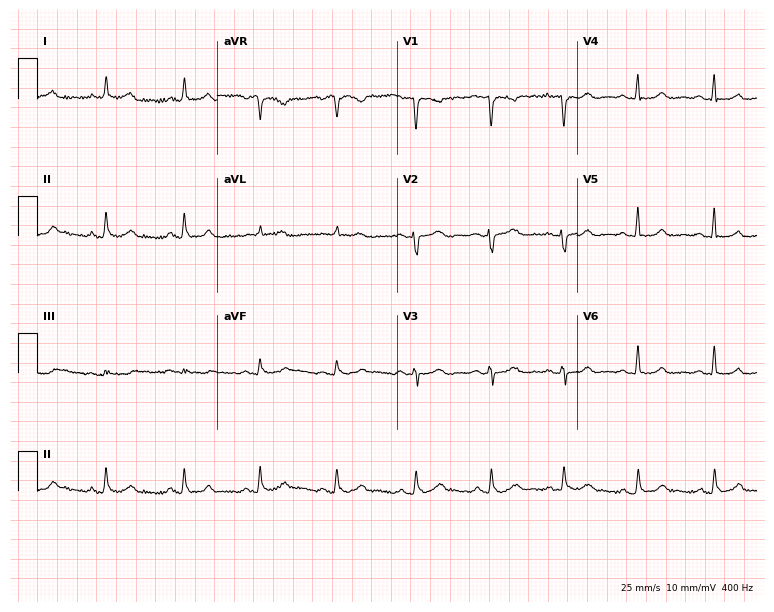
ECG (7.3-second recording at 400 Hz) — a 30-year-old female. Labelled as a normal ECG.